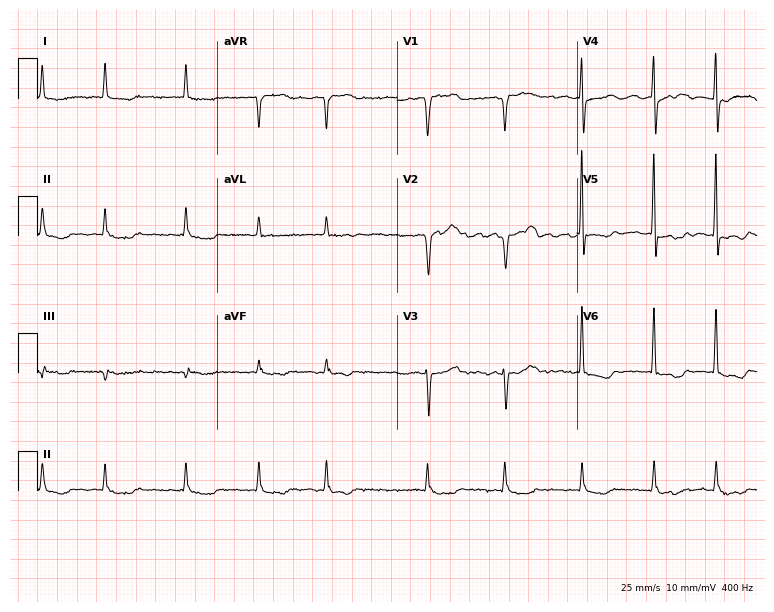
Resting 12-lead electrocardiogram (7.3-second recording at 400 Hz). Patient: an 86-year-old female. The tracing shows atrial fibrillation (AF).